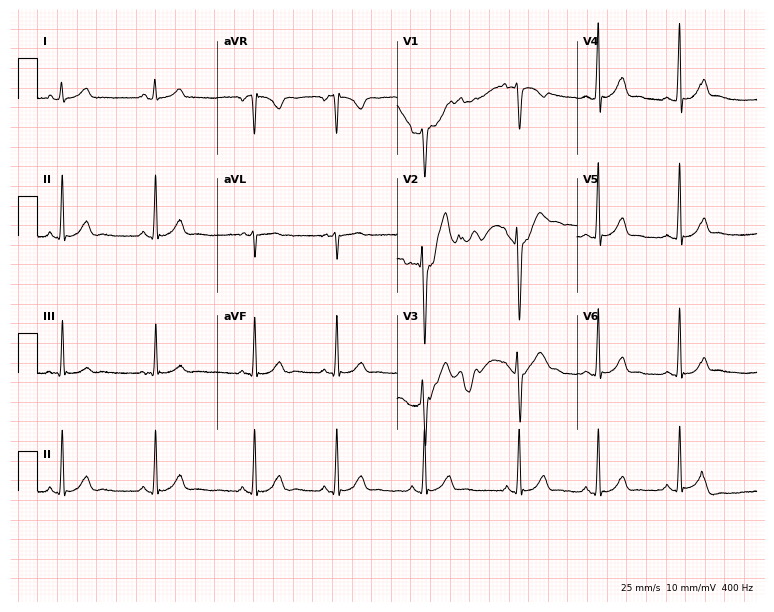
Electrocardiogram (7.3-second recording at 400 Hz), a 23-year-old female. Overall reading on record: normal ECG.